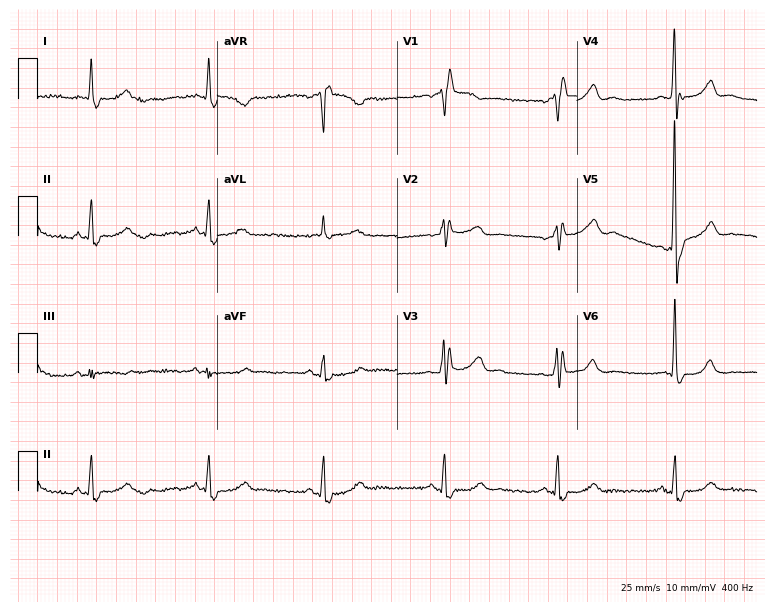
12-lead ECG (7.3-second recording at 400 Hz) from a 72-year-old woman. Findings include right bundle branch block.